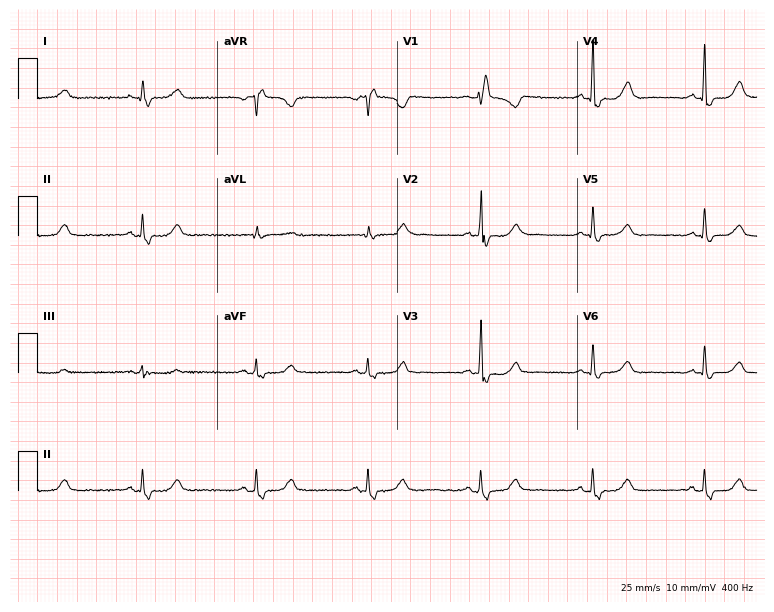
12-lead ECG from a woman, 68 years old (7.3-second recording at 400 Hz). Shows right bundle branch block.